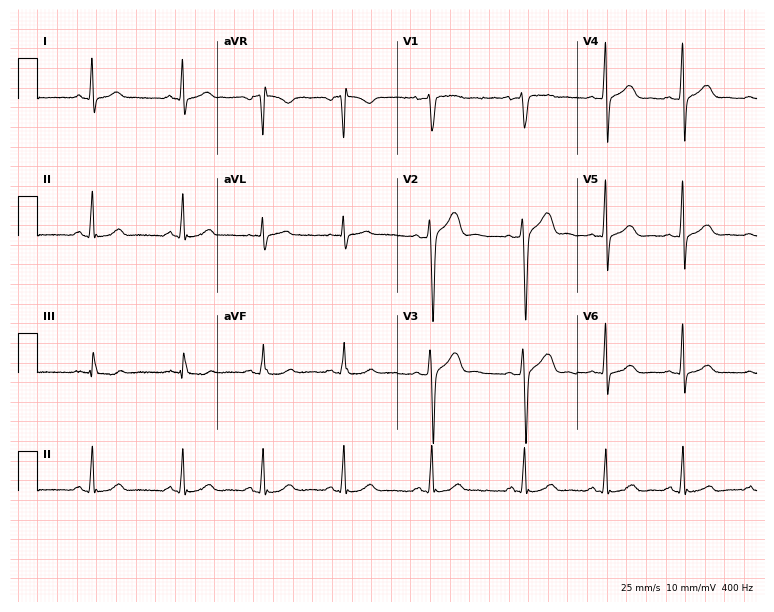
12-lead ECG from a female patient, 22 years old. Recorded interpretation: within normal limits.